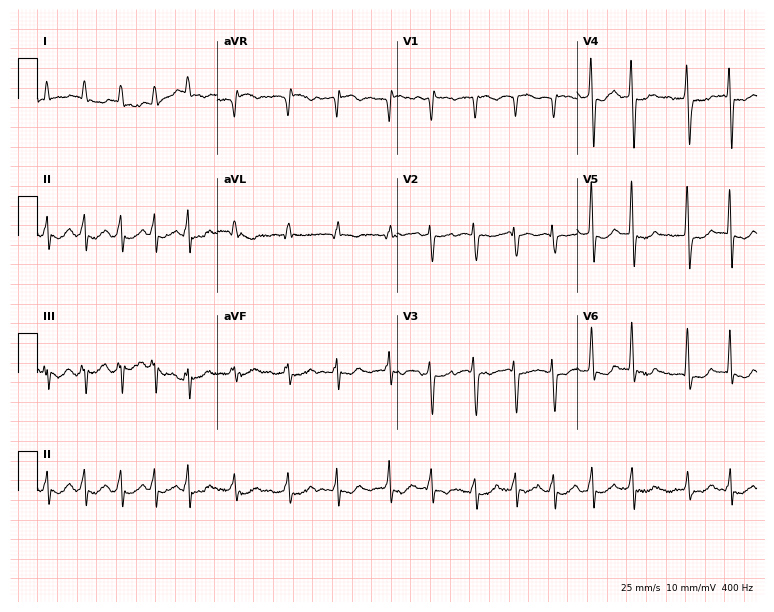
Standard 12-lead ECG recorded from a 71-year-old female (7.3-second recording at 400 Hz). The tracing shows atrial fibrillation (AF).